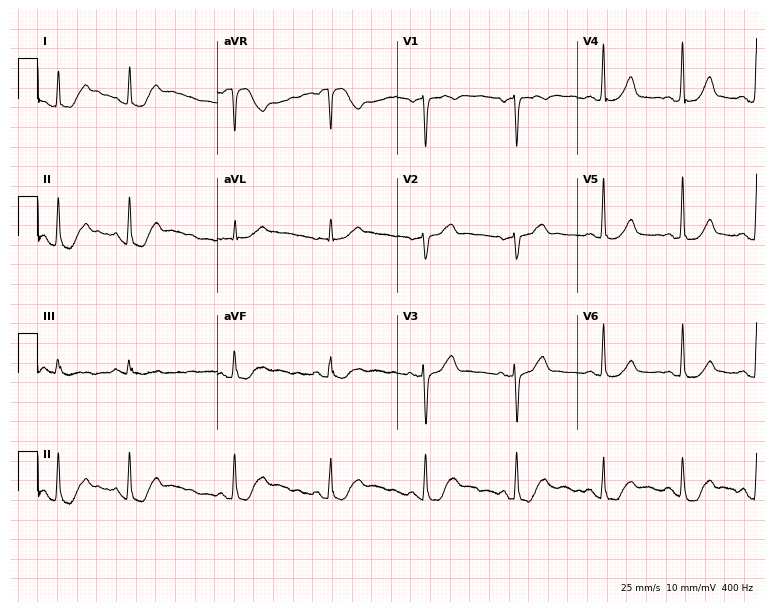
12-lead ECG from a 65-year-old female. Labelled as a normal ECG.